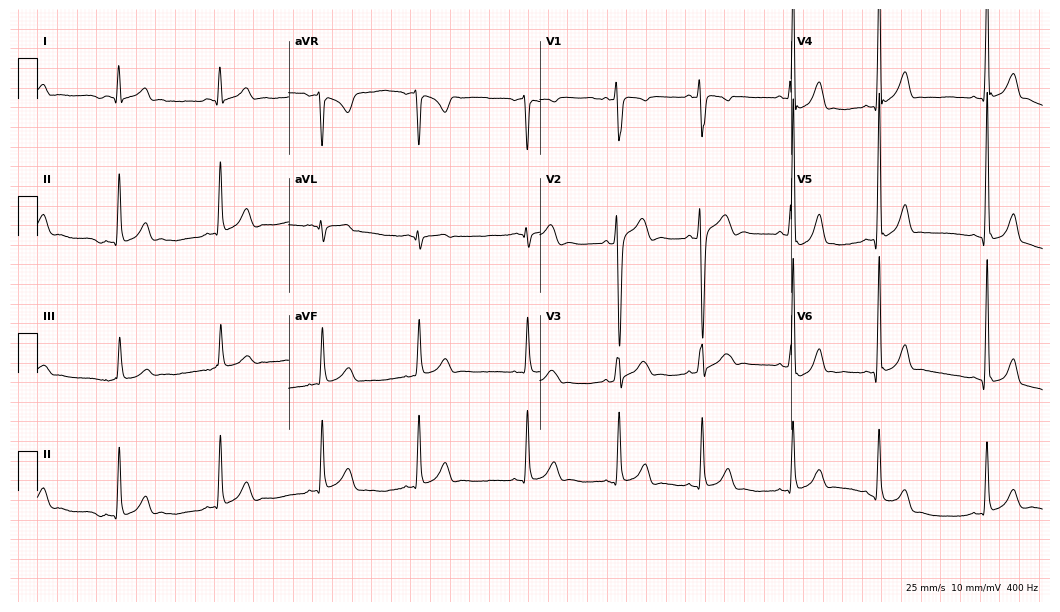
12-lead ECG from a man, 17 years old. Screened for six findings — first-degree AV block, right bundle branch block, left bundle branch block, sinus bradycardia, atrial fibrillation, sinus tachycardia — none is recorded.